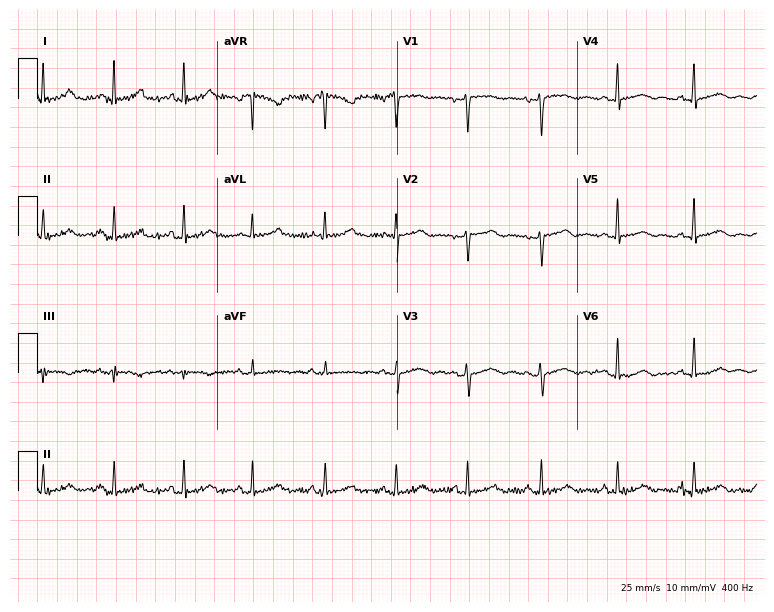
Electrocardiogram (7.3-second recording at 400 Hz), a female patient, 30 years old. Overall reading on record: normal ECG.